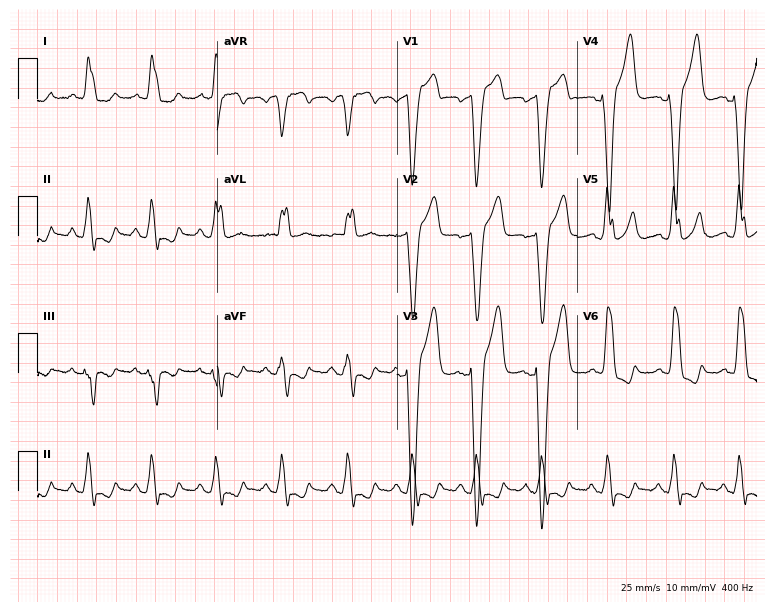
Resting 12-lead electrocardiogram. Patient: a male, 68 years old. None of these six findings is recorded: first-degree AV block, right bundle branch block (RBBB), left bundle branch block (LBBB), sinus bradycardia, atrial fibrillation (AF), sinus tachycardia.